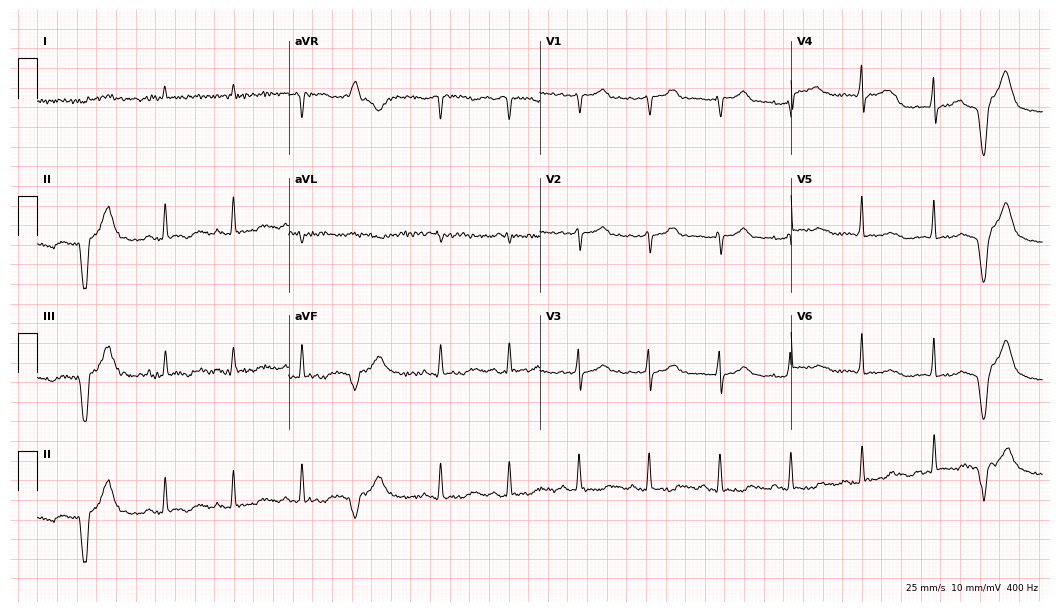
ECG — a man, 69 years old. Screened for six findings — first-degree AV block, right bundle branch block, left bundle branch block, sinus bradycardia, atrial fibrillation, sinus tachycardia — none is recorded.